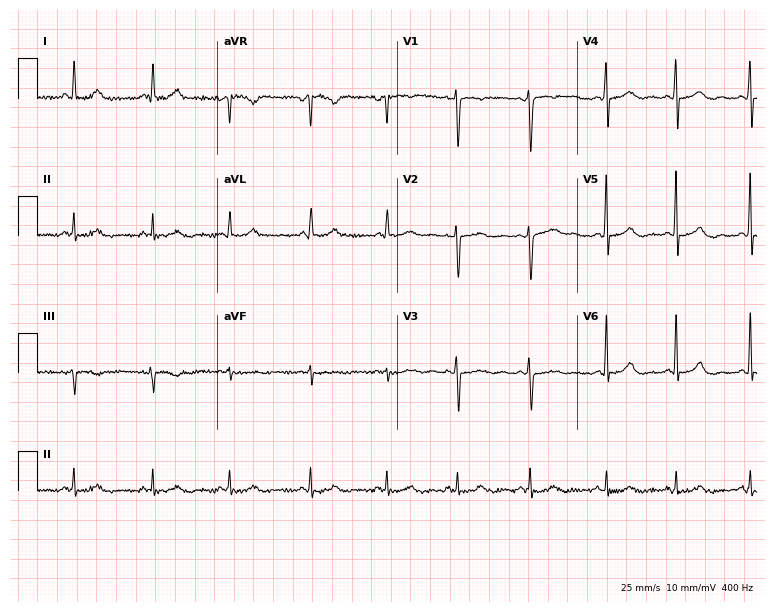
ECG — a woman, 40 years old. Labelled as a normal ECG.